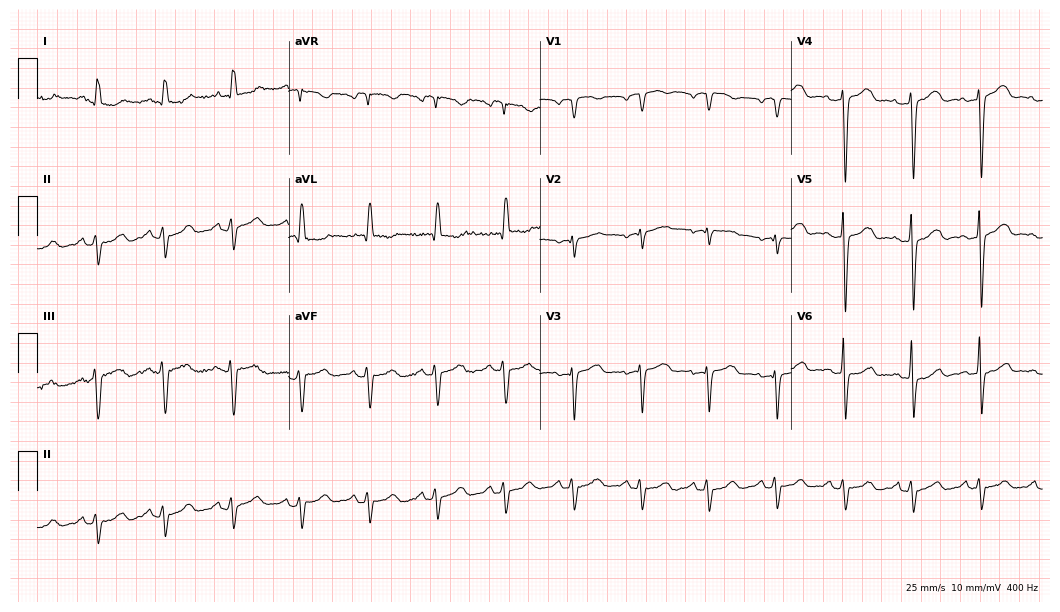
Resting 12-lead electrocardiogram (10.2-second recording at 400 Hz). Patient: a 72-year-old female. None of these six findings is recorded: first-degree AV block, right bundle branch block, left bundle branch block, sinus bradycardia, atrial fibrillation, sinus tachycardia. Findings outside these six are not listed.